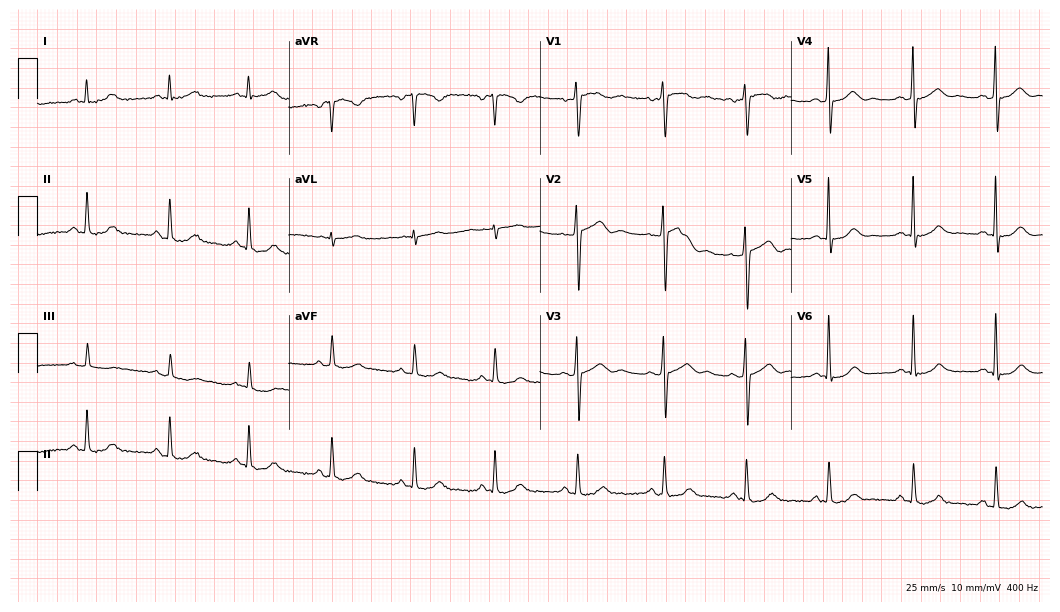
Standard 12-lead ECG recorded from a female, 56 years old. Read as a normal ECG.